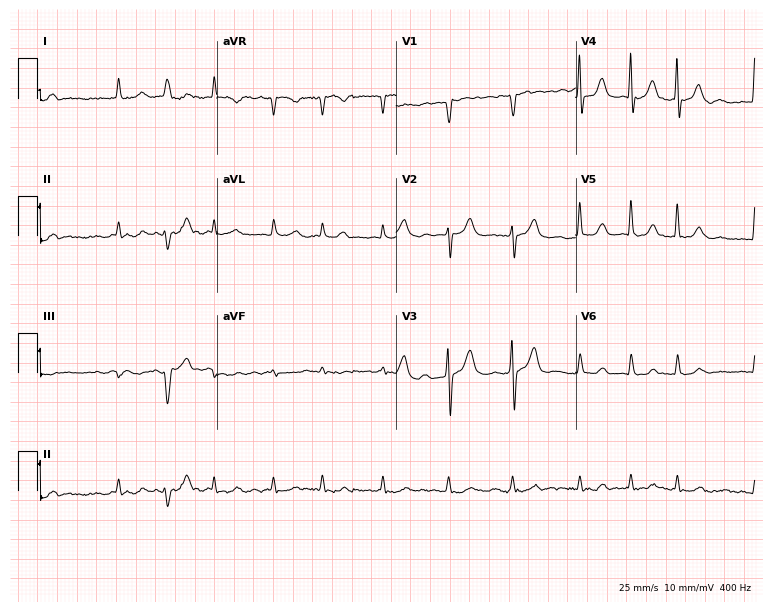
ECG — a male, 78 years old. Screened for six findings — first-degree AV block, right bundle branch block, left bundle branch block, sinus bradycardia, atrial fibrillation, sinus tachycardia — none is recorded. Findings outside these six are not listed.